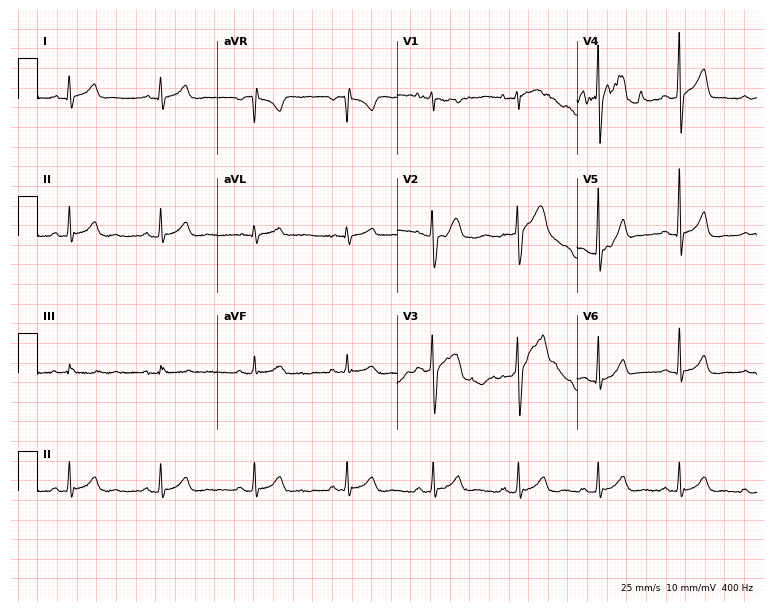
12-lead ECG from a 27-year-old man. Screened for six findings — first-degree AV block, right bundle branch block, left bundle branch block, sinus bradycardia, atrial fibrillation, sinus tachycardia — none is recorded.